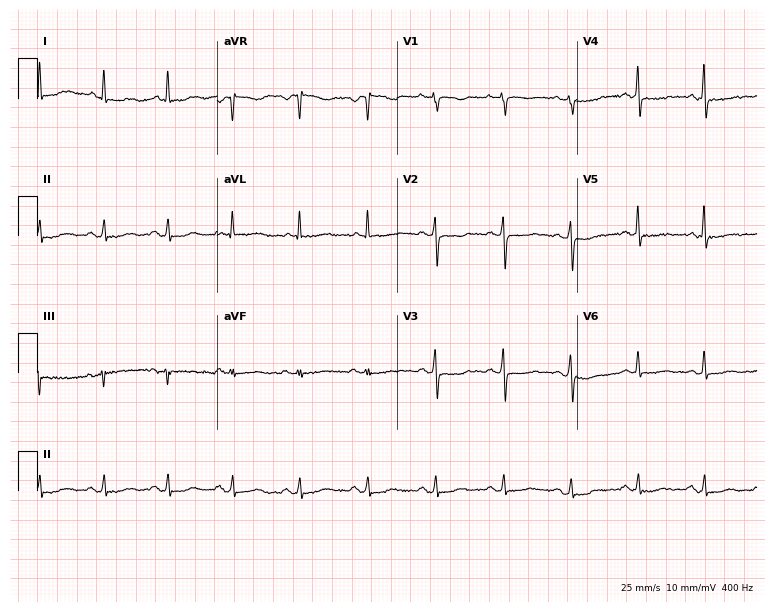
Standard 12-lead ECG recorded from a female, 52 years old. None of these six findings is recorded: first-degree AV block, right bundle branch block, left bundle branch block, sinus bradycardia, atrial fibrillation, sinus tachycardia.